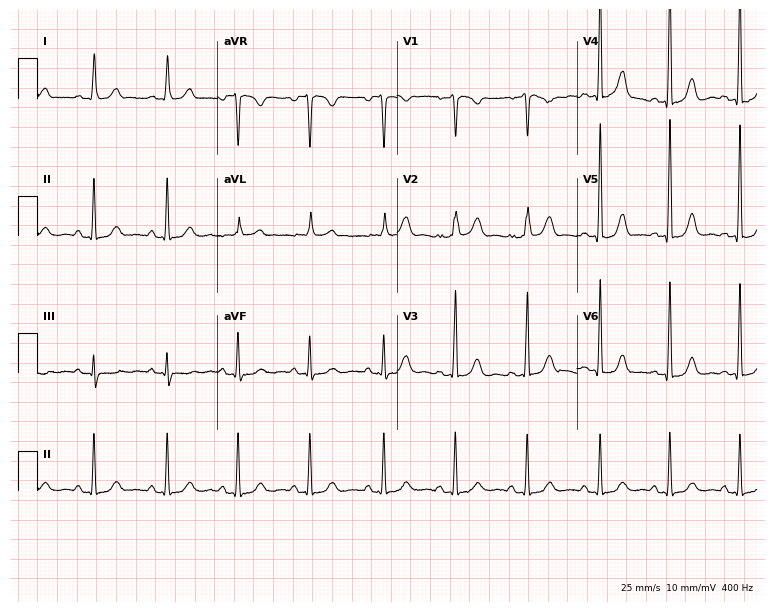
Standard 12-lead ECG recorded from a woman, 37 years old. None of these six findings is recorded: first-degree AV block, right bundle branch block (RBBB), left bundle branch block (LBBB), sinus bradycardia, atrial fibrillation (AF), sinus tachycardia.